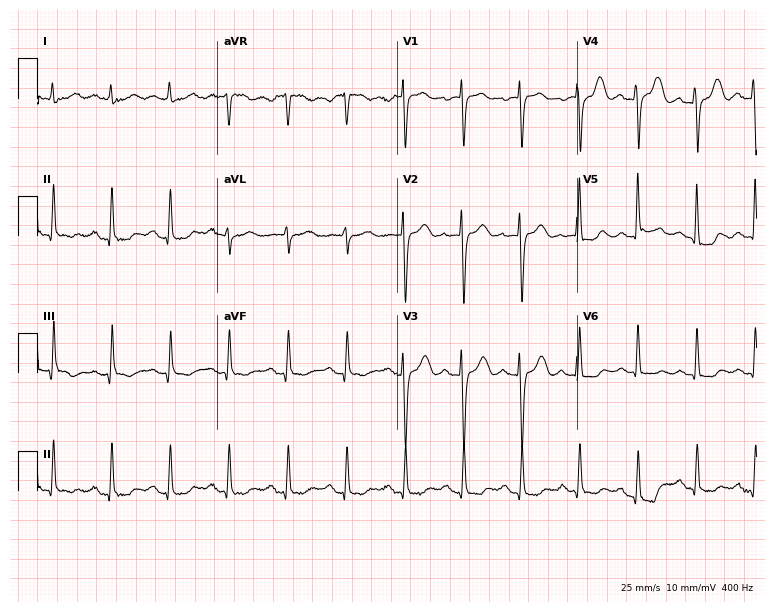
Standard 12-lead ECG recorded from a 73-year-old female. The tracing shows sinus tachycardia (a sinus rate of 100 beats per minute or more).